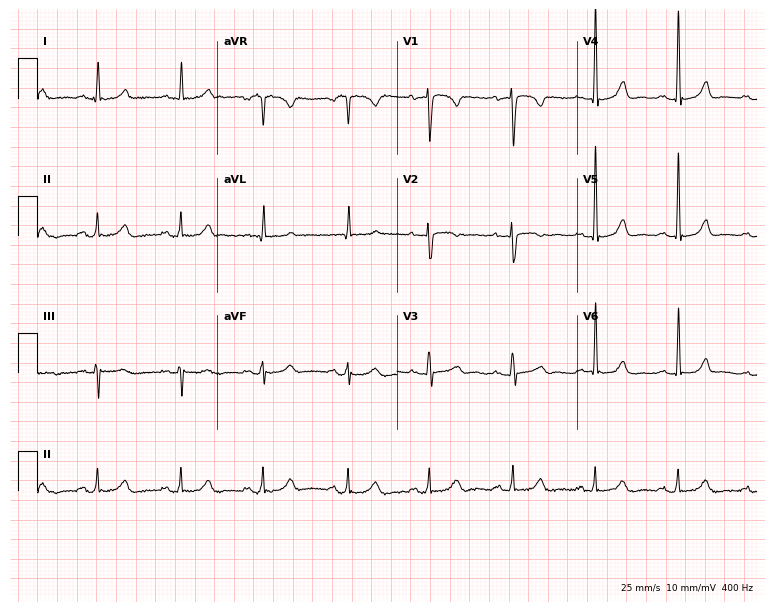
ECG (7.3-second recording at 400 Hz) — a 44-year-old woman. Labelled as a normal ECG.